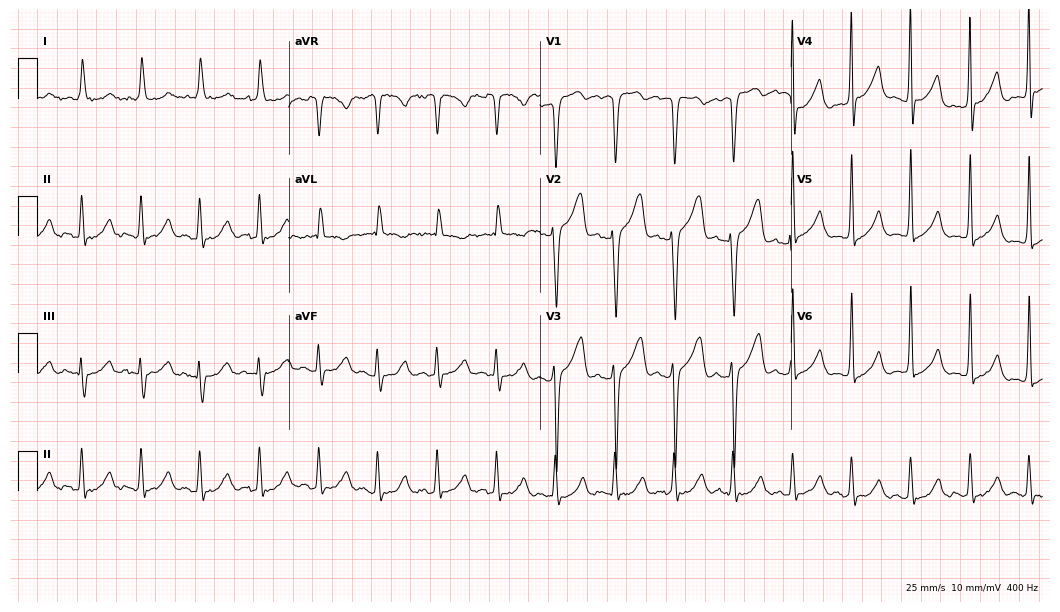
Standard 12-lead ECG recorded from a female patient, 53 years old. None of these six findings is recorded: first-degree AV block, right bundle branch block (RBBB), left bundle branch block (LBBB), sinus bradycardia, atrial fibrillation (AF), sinus tachycardia. Other findings, if any, are not listed.